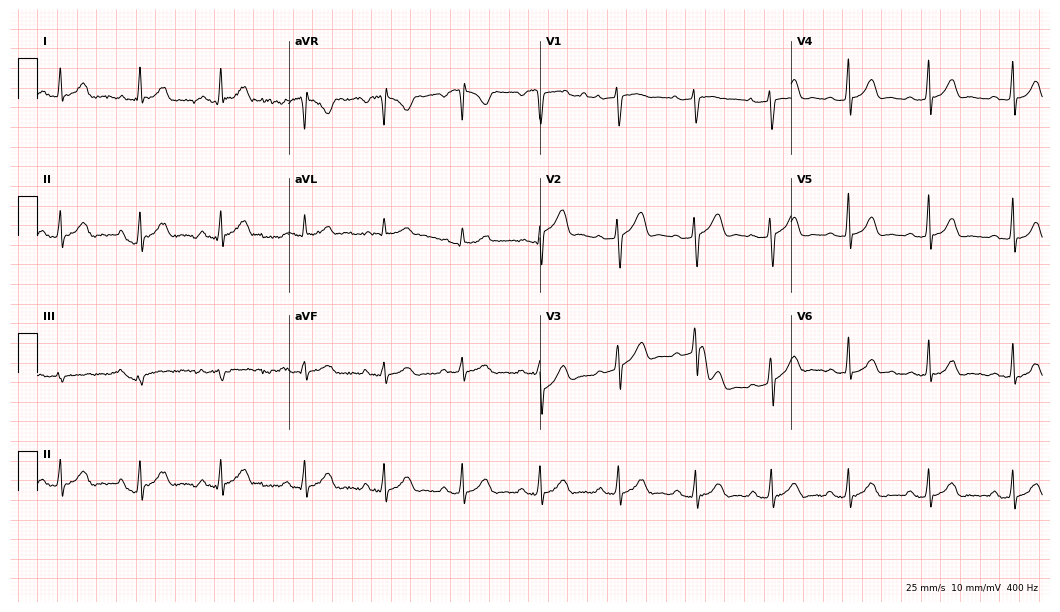
Electrocardiogram (10.2-second recording at 400 Hz), a female, 32 years old. Interpretation includes atrial fibrillation (AF).